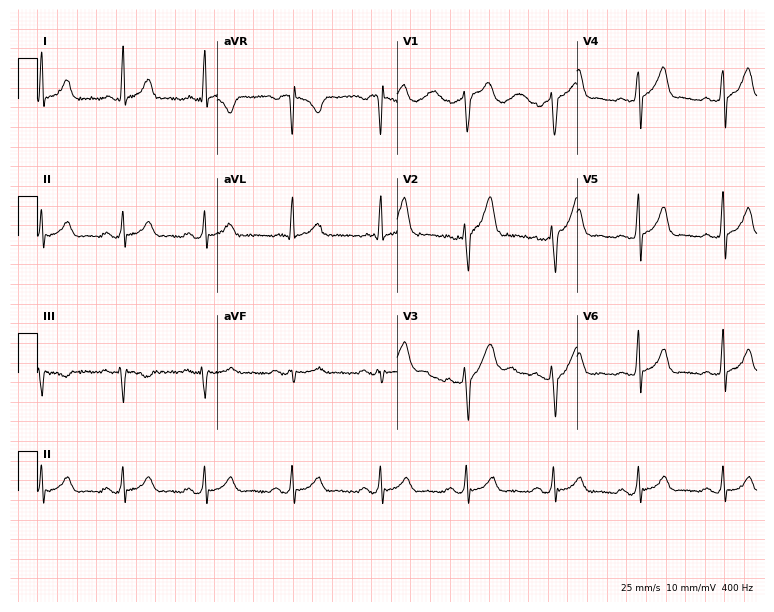
12-lead ECG from a male patient, 35 years old (7.3-second recording at 400 Hz). Recorded interpretation: within normal limits.